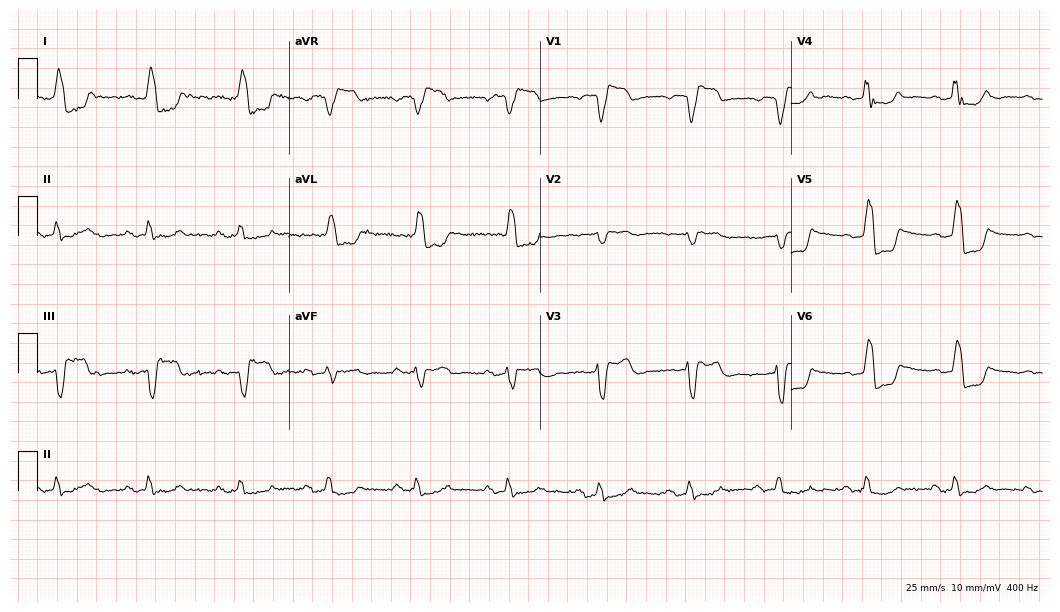
Standard 12-lead ECG recorded from a woman, 82 years old. None of these six findings is recorded: first-degree AV block, right bundle branch block, left bundle branch block, sinus bradycardia, atrial fibrillation, sinus tachycardia.